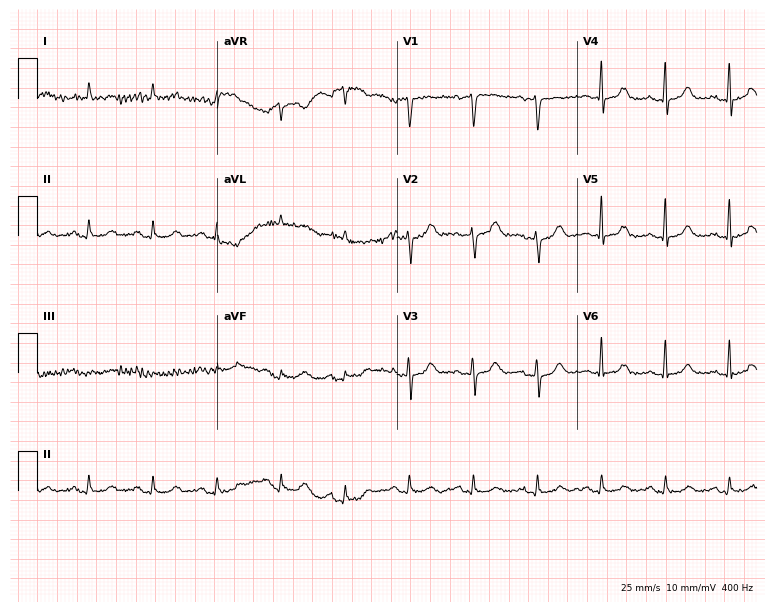
ECG (7.3-second recording at 400 Hz) — a 77-year-old woman. Screened for six findings — first-degree AV block, right bundle branch block, left bundle branch block, sinus bradycardia, atrial fibrillation, sinus tachycardia — none is recorded. Only these six findings were labelled.